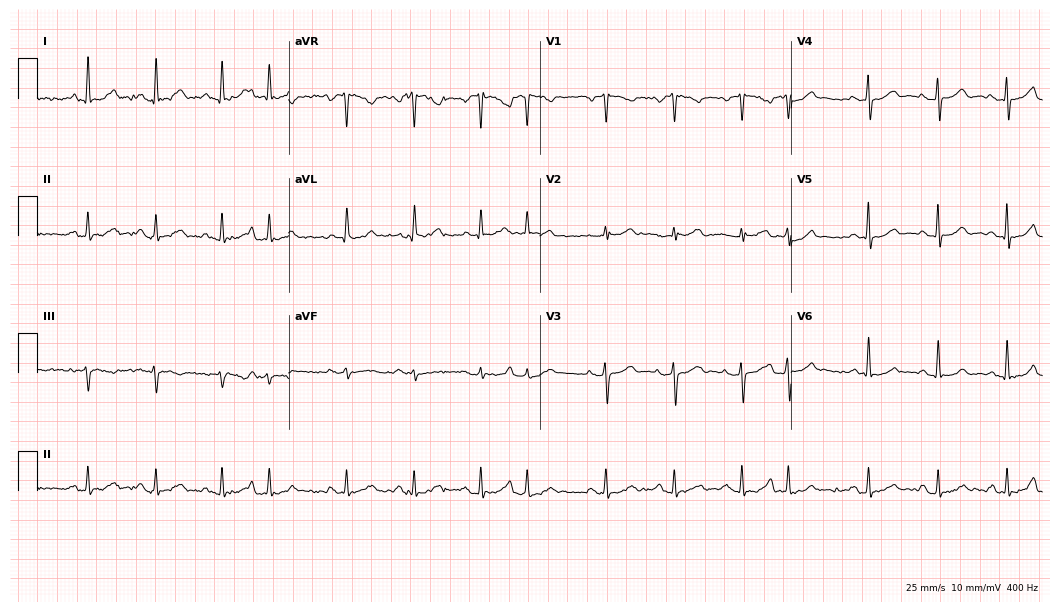
Electrocardiogram, a 79-year-old woman. Of the six screened findings (first-degree AV block, right bundle branch block, left bundle branch block, sinus bradycardia, atrial fibrillation, sinus tachycardia), none is recorded.